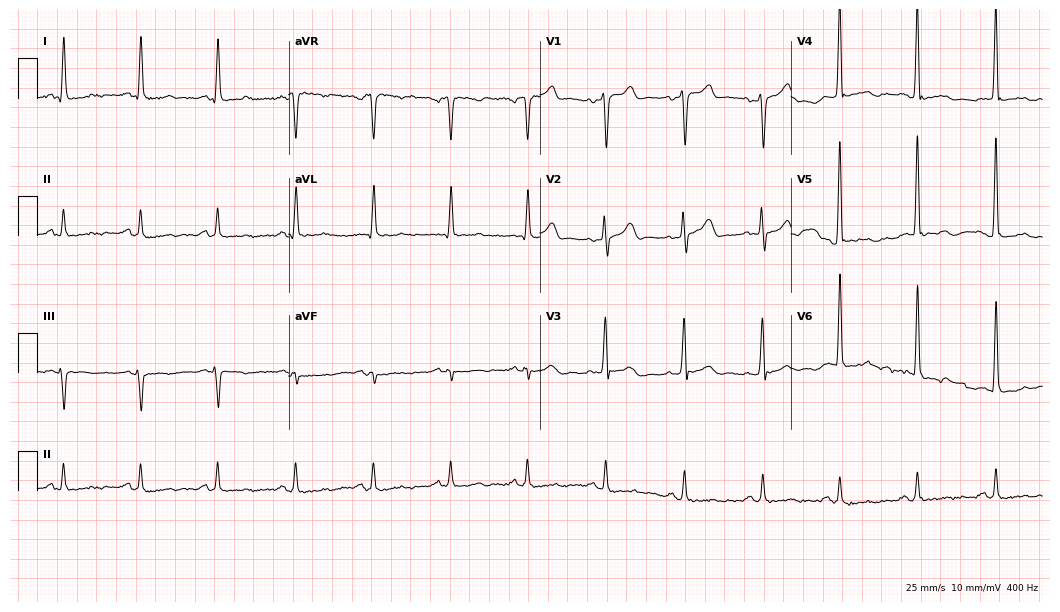
12-lead ECG from a 62-year-old male patient (10.2-second recording at 400 Hz). No first-degree AV block, right bundle branch block, left bundle branch block, sinus bradycardia, atrial fibrillation or sinus tachycardia recorded for this tracing. Other findings, if any, are not listed.